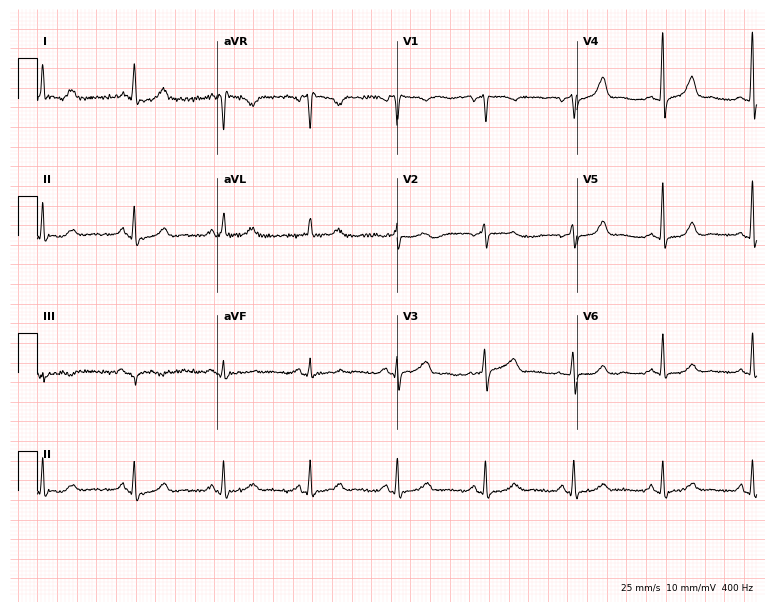
12-lead ECG from a 64-year-old female patient. Screened for six findings — first-degree AV block, right bundle branch block, left bundle branch block, sinus bradycardia, atrial fibrillation, sinus tachycardia — none is recorded.